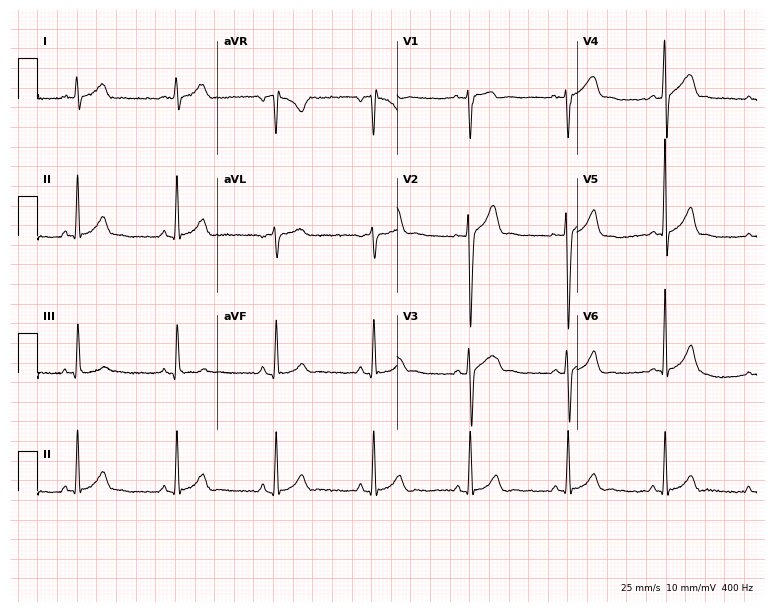
12-lead ECG from a male patient, 17 years old. Recorded interpretation: within normal limits.